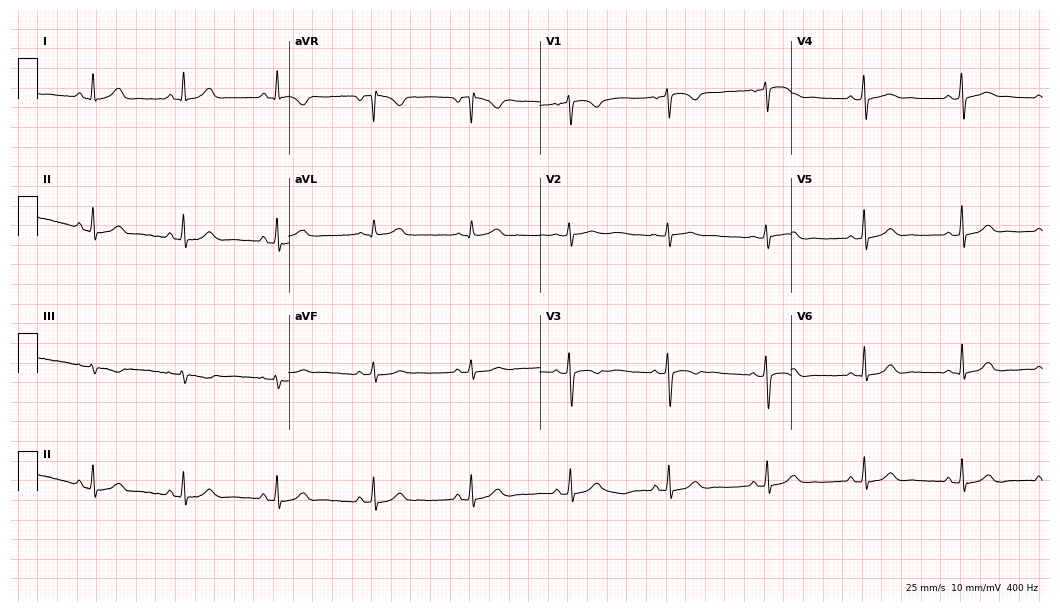
Standard 12-lead ECG recorded from a female patient, 41 years old (10.2-second recording at 400 Hz). Read as a normal ECG.